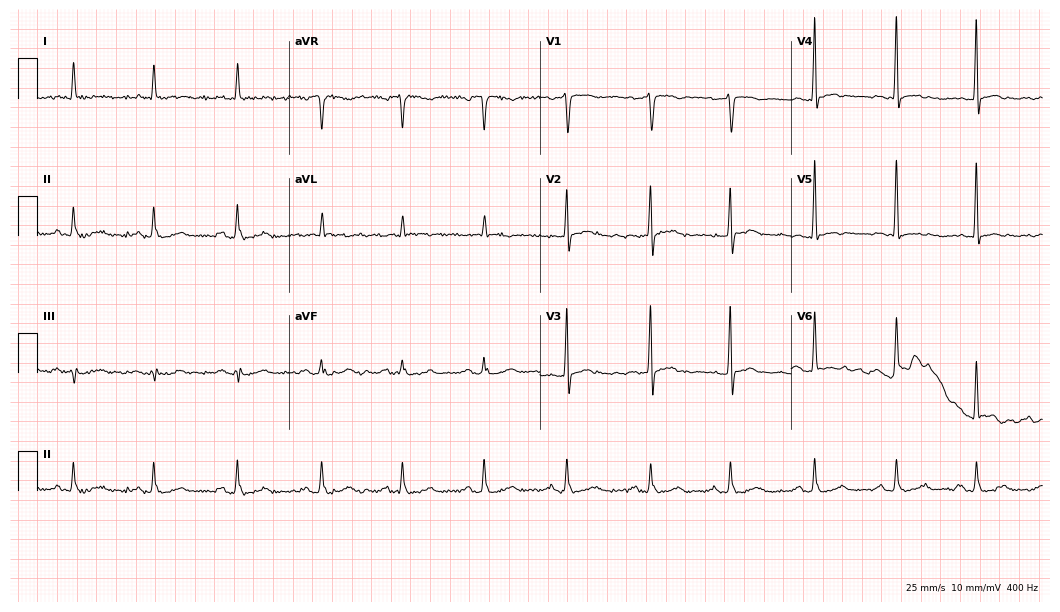
Standard 12-lead ECG recorded from a male patient, 74 years old. None of these six findings is recorded: first-degree AV block, right bundle branch block (RBBB), left bundle branch block (LBBB), sinus bradycardia, atrial fibrillation (AF), sinus tachycardia. Only these six findings were labelled.